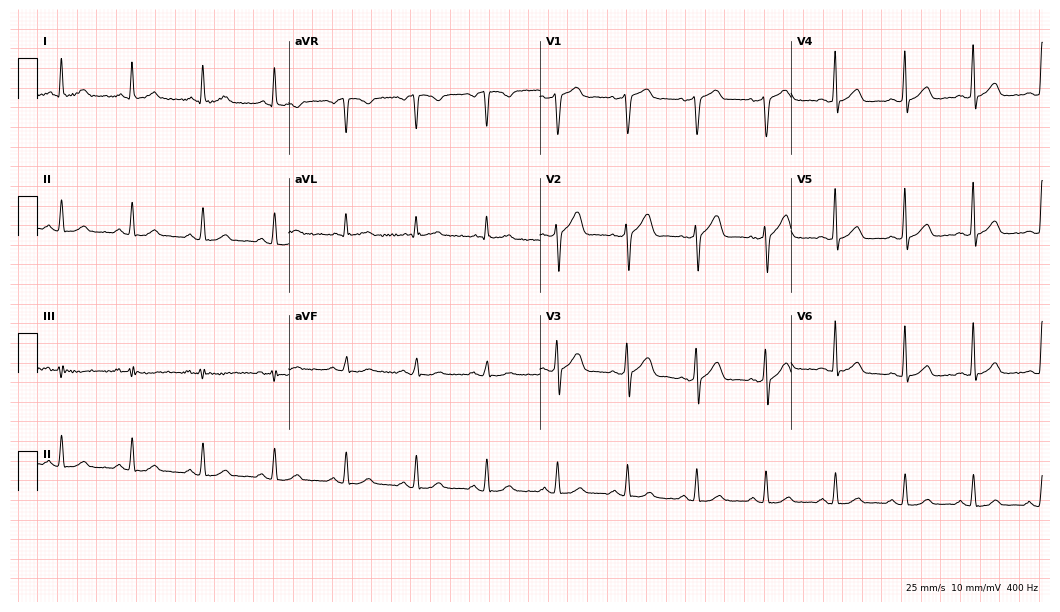
ECG — a male patient, 56 years old. Labelled as a normal ECG.